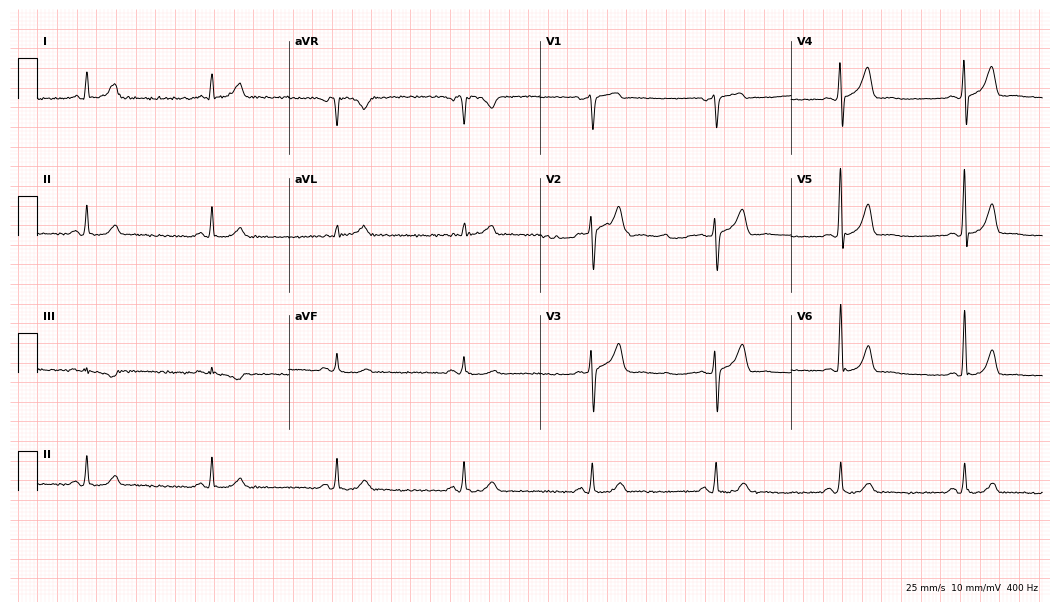
12-lead ECG from a man, 54 years old (10.2-second recording at 400 Hz). Shows sinus bradycardia (a sinus rate of 50 beats per minute or less).